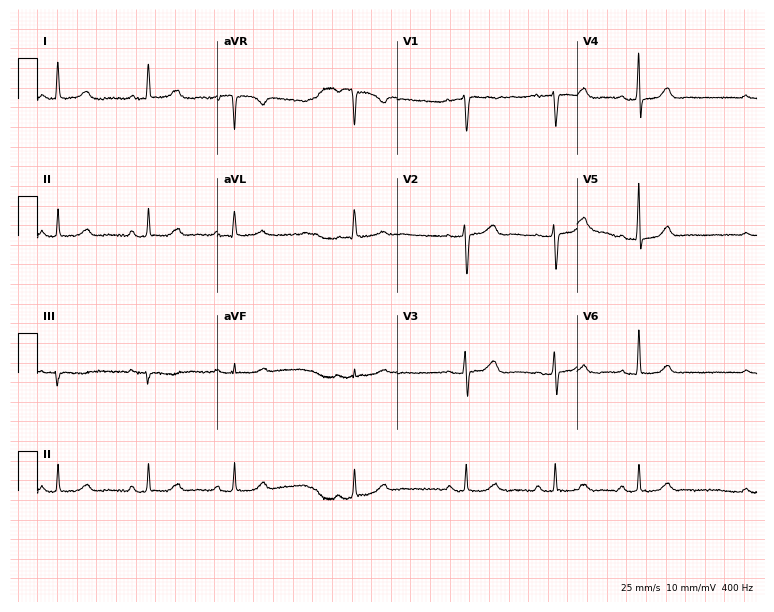
Resting 12-lead electrocardiogram. Patient: a female, 56 years old. Read as a normal ECG.